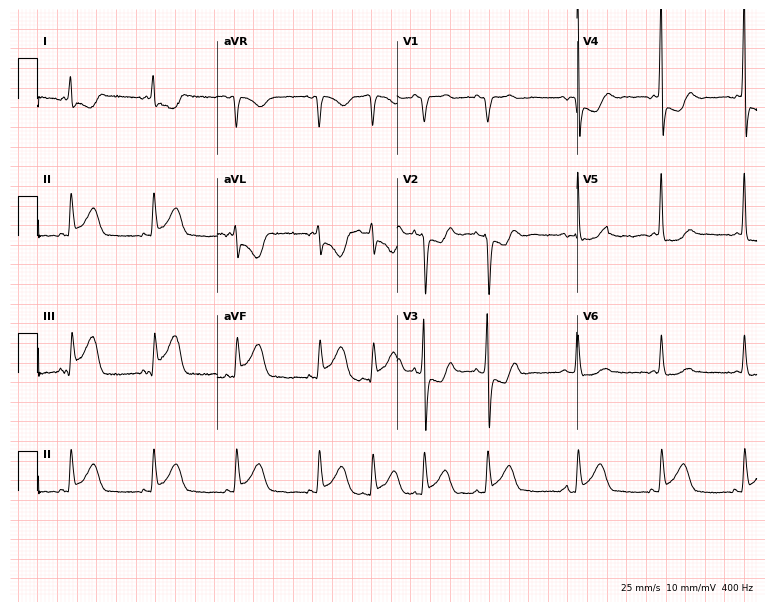
Electrocardiogram, a female patient, 72 years old. Of the six screened findings (first-degree AV block, right bundle branch block, left bundle branch block, sinus bradycardia, atrial fibrillation, sinus tachycardia), none is recorded.